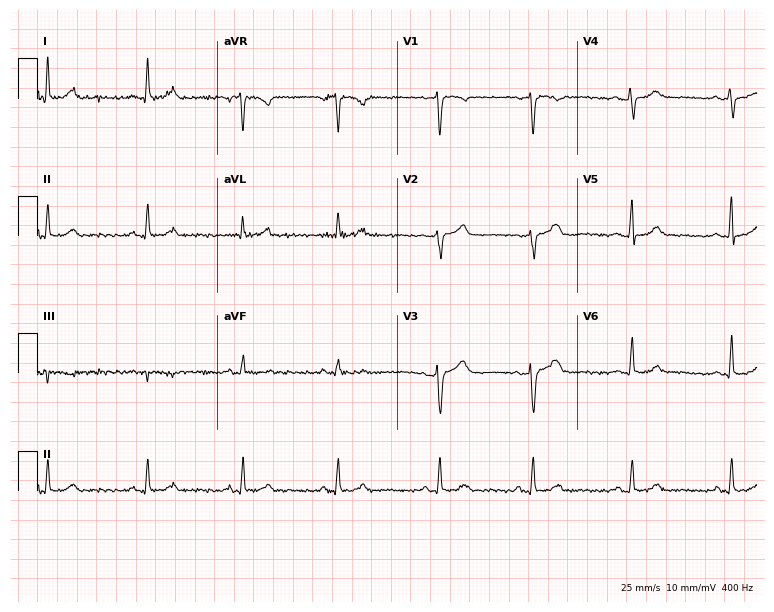
Resting 12-lead electrocardiogram (7.3-second recording at 400 Hz). Patient: a 60-year-old female. Read as a normal ECG.